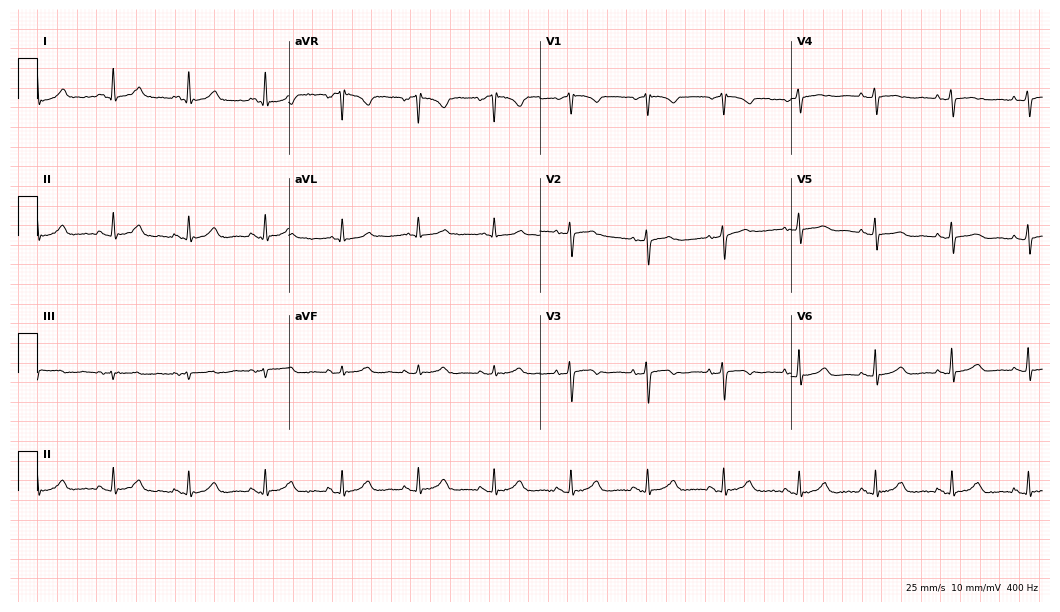
Resting 12-lead electrocardiogram (10.2-second recording at 400 Hz). Patient: a woman, 57 years old. None of these six findings is recorded: first-degree AV block, right bundle branch block, left bundle branch block, sinus bradycardia, atrial fibrillation, sinus tachycardia.